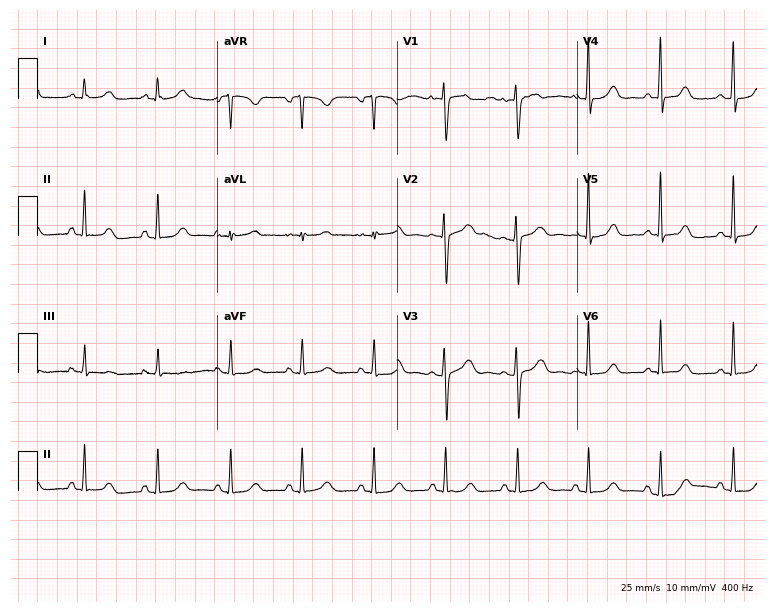
Electrocardiogram, a 45-year-old female. Of the six screened findings (first-degree AV block, right bundle branch block (RBBB), left bundle branch block (LBBB), sinus bradycardia, atrial fibrillation (AF), sinus tachycardia), none is recorded. Other findings, if any, are not listed.